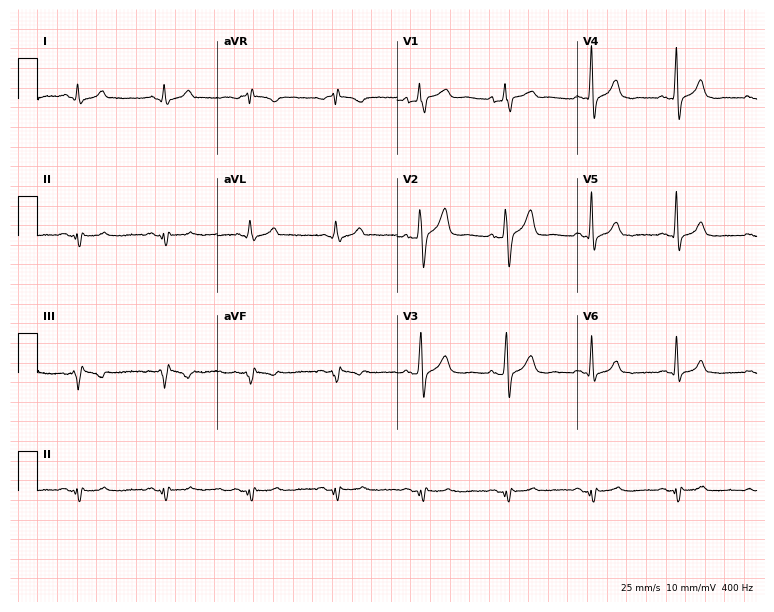
12-lead ECG from a 62-year-old man. Screened for six findings — first-degree AV block, right bundle branch block (RBBB), left bundle branch block (LBBB), sinus bradycardia, atrial fibrillation (AF), sinus tachycardia — none is recorded.